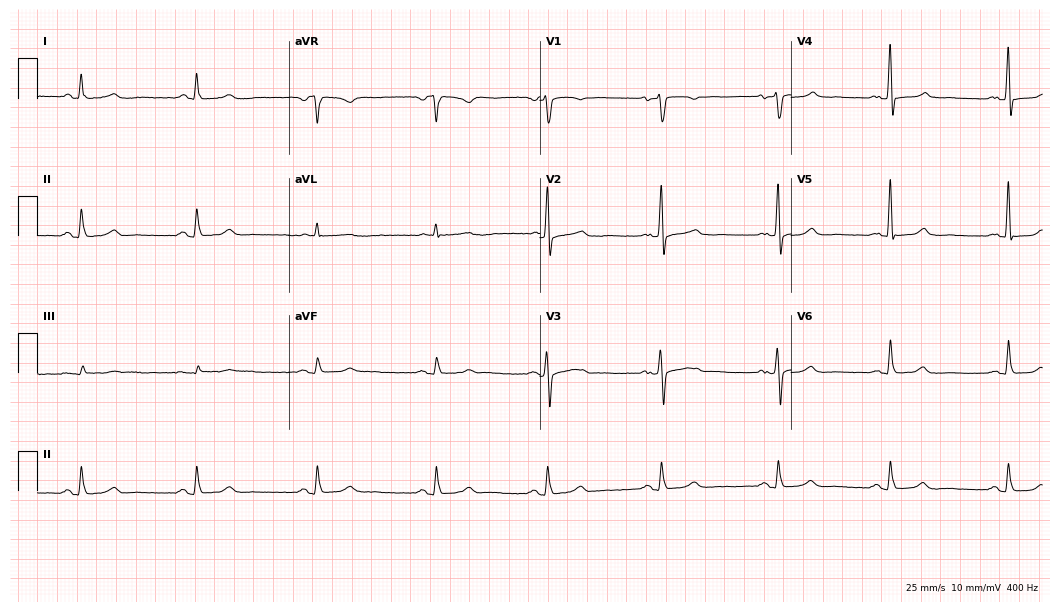
Electrocardiogram (10.2-second recording at 400 Hz), a 50-year-old female patient. Overall reading on record: normal ECG.